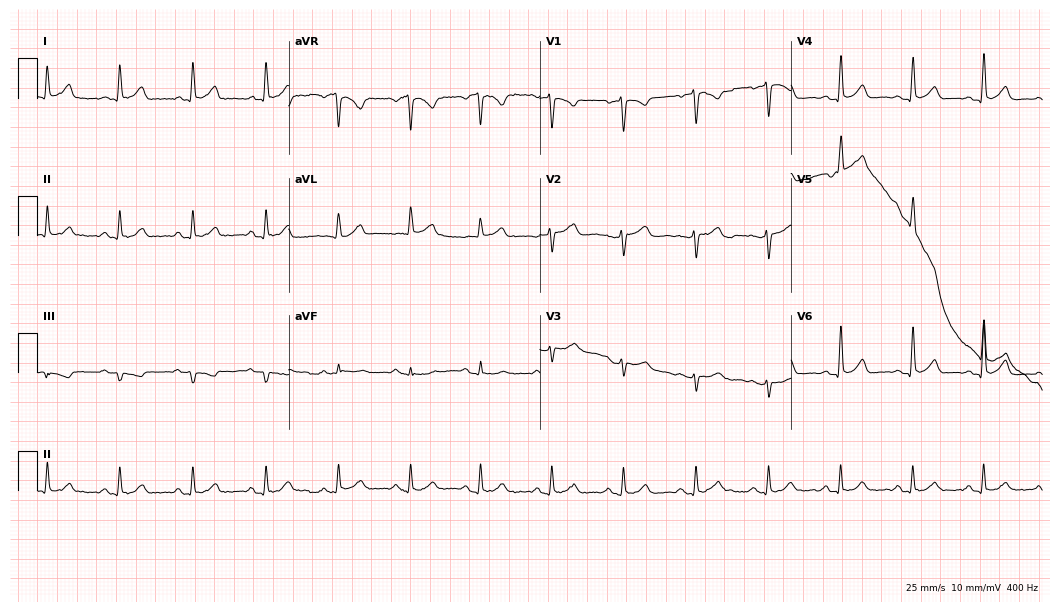
12-lead ECG from a woman, 46 years old. Labelled as a normal ECG.